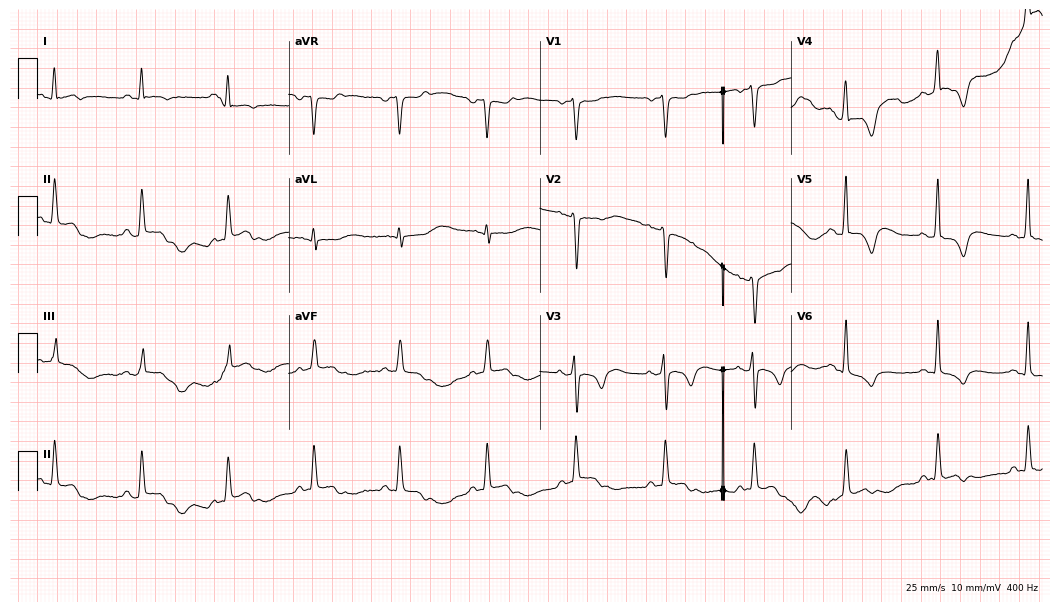
12-lead ECG from a male patient, 55 years old. Screened for six findings — first-degree AV block, right bundle branch block, left bundle branch block, sinus bradycardia, atrial fibrillation, sinus tachycardia — none is recorded.